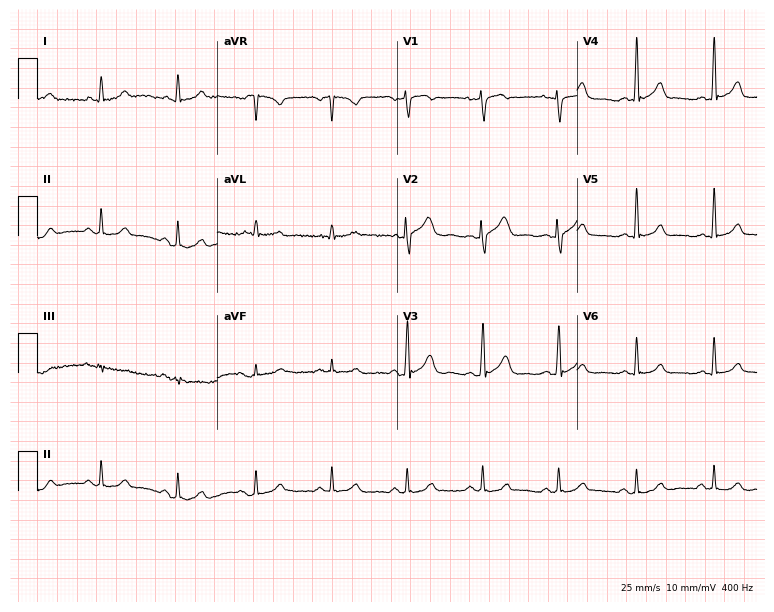
Standard 12-lead ECG recorded from a man, 54 years old (7.3-second recording at 400 Hz). Read as a normal ECG.